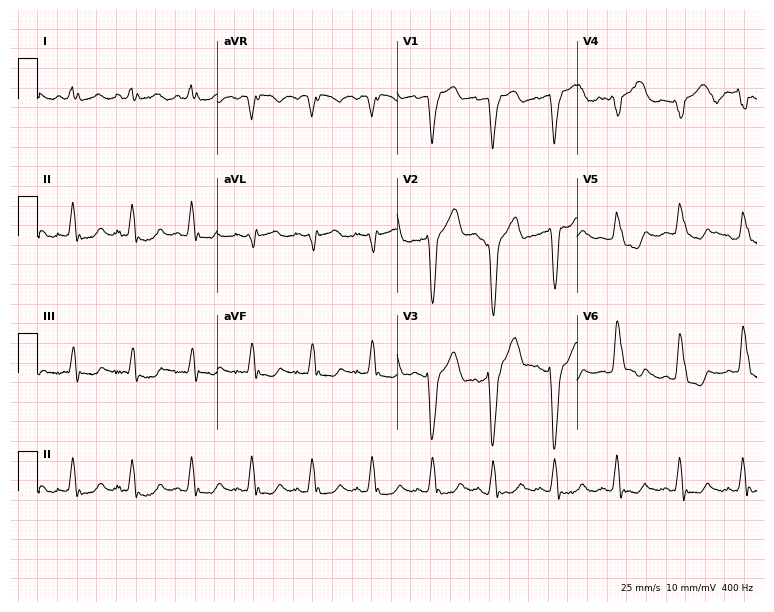
Standard 12-lead ECG recorded from a 57-year-old woman. The tracing shows left bundle branch block (LBBB).